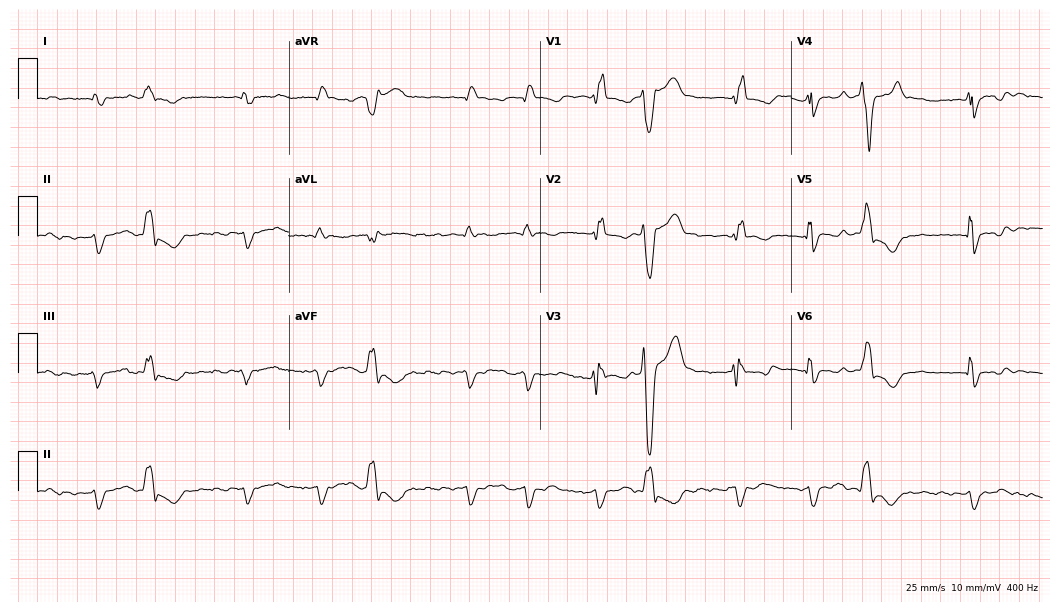
ECG — an 81-year-old male patient. Findings include right bundle branch block (RBBB), atrial fibrillation (AF).